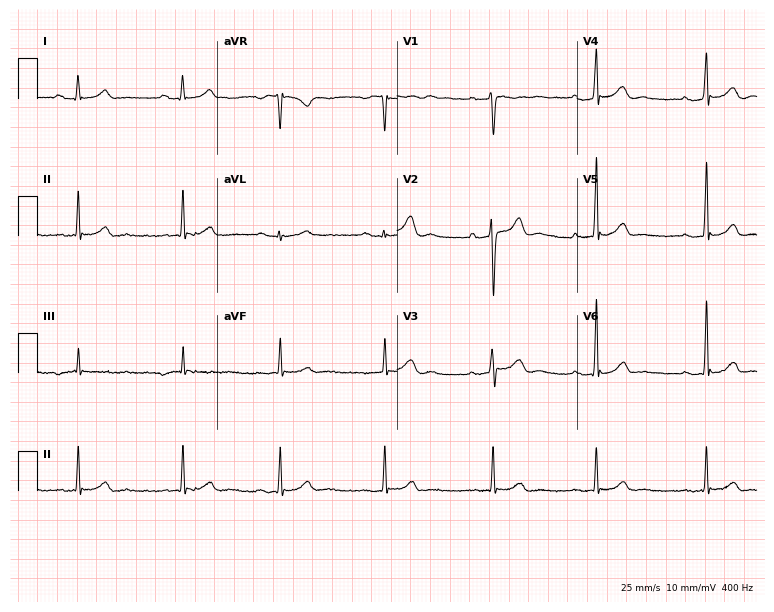
12-lead ECG from a man, 28 years old. Labelled as a normal ECG.